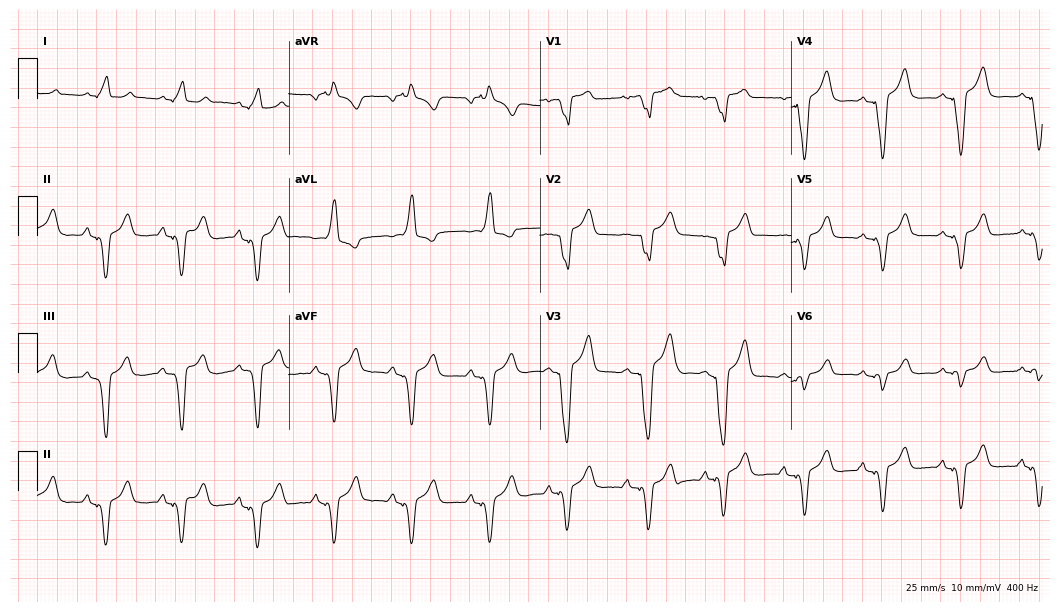
12-lead ECG from a female, 58 years old (10.2-second recording at 400 Hz). No first-degree AV block, right bundle branch block (RBBB), left bundle branch block (LBBB), sinus bradycardia, atrial fibrillation (AF) or sinus tachycardia recorded for this tracing.